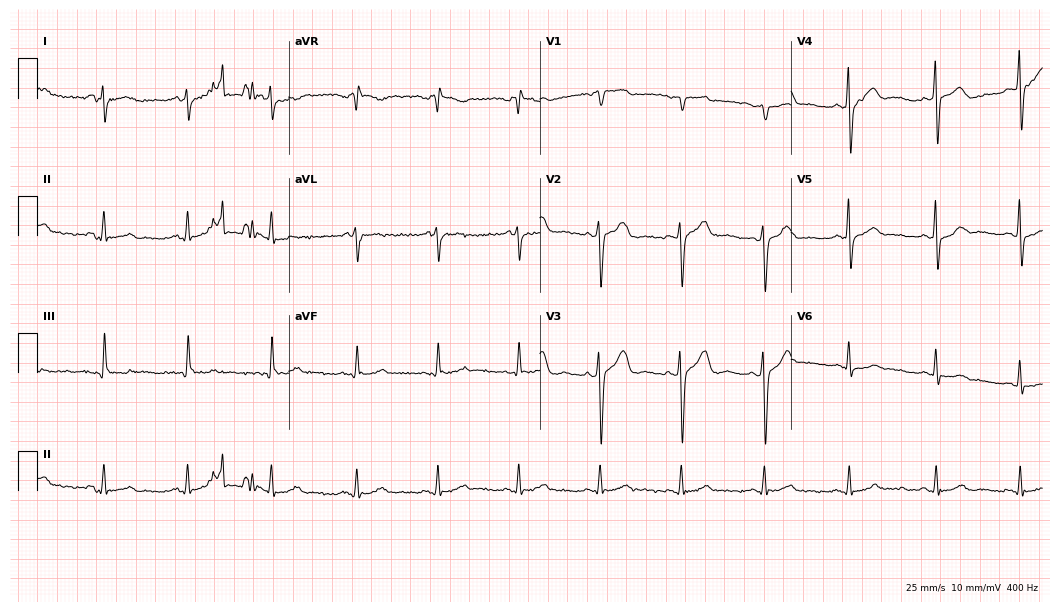
12-lead ECG from a female patient, 47 years old. Recorded interpretation: within normal limits.